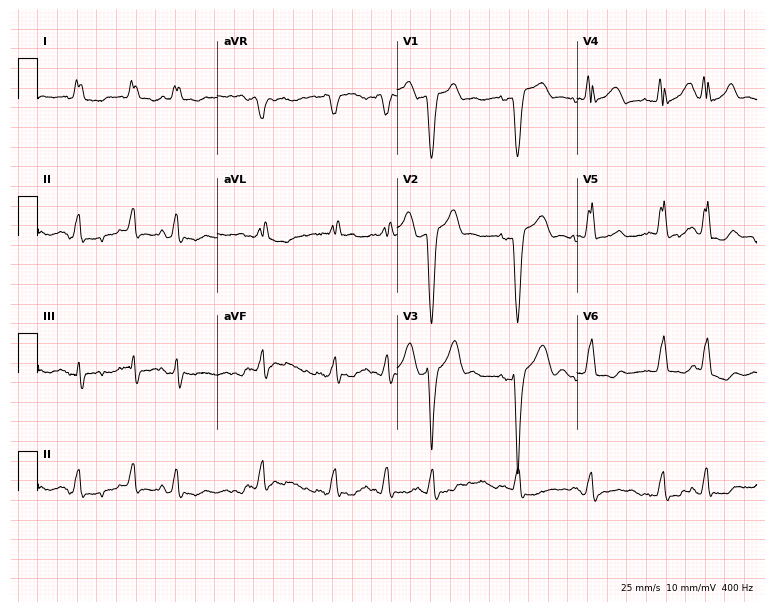
Electrocardiogram (7.3-second recording at 400 Hz), a female patient, 85 years old. Interpretation includes left bundle branch block, atrial fibrillation.